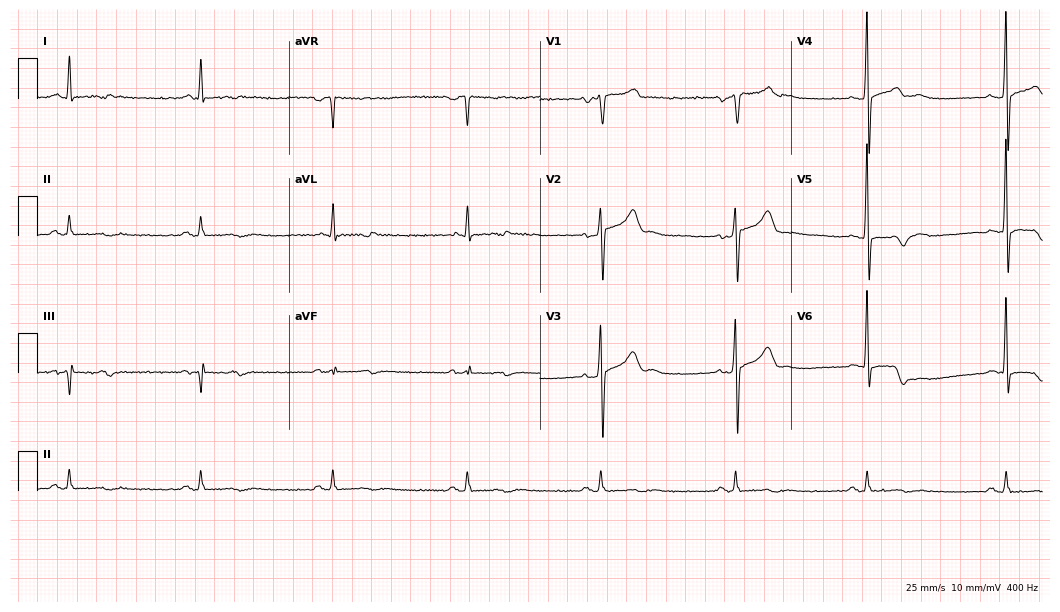
Electrocardiogram (10.2-second recording at 400 Hz), a 54-year-old man. Of the six screened findings (first-degree AV block, right bundle branch block (RBBB), left bundle branch block (LBBB), sinus bradycardia, atrial fibrillation (AF), sinus tachycardia), none is recorded.